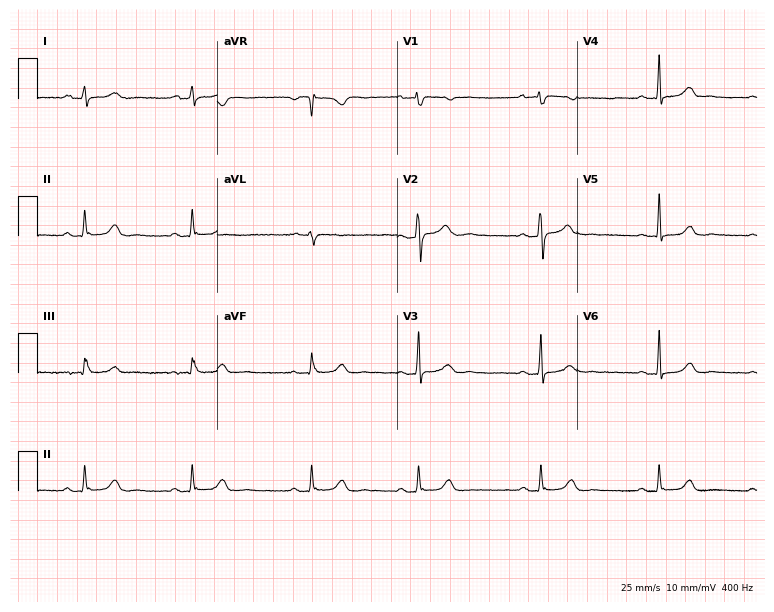
ECG (7.3-second recording at 400 Hz) — a female patient, 28 years old. Labelled as a normal ECG.